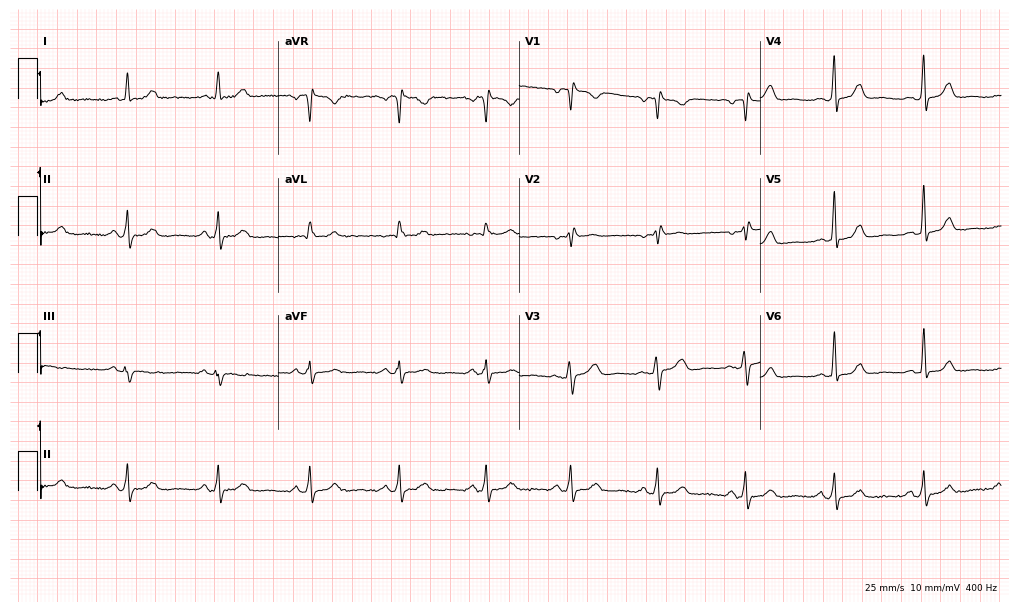
Electrocardiogram, a 50-year-old female patient. Of the six screened findings (first-degree AV block, right bundle branch block (RBBB), left bundle branch block (LBBB), sinus bradycardia, atrial fibrillation (AF), sinus tachycardia), none is recorded. Findings outside these six are not listed.